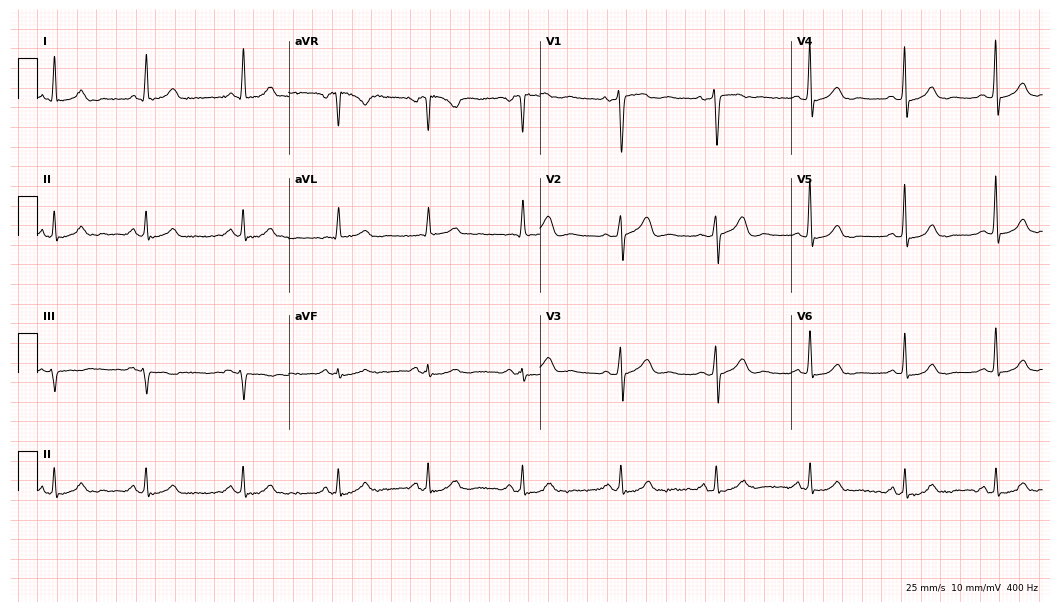
12-lead ECG from a female patient, 60 years old (10.2-second recording at 400 Hz). Recorded interpretation: within normal limits.